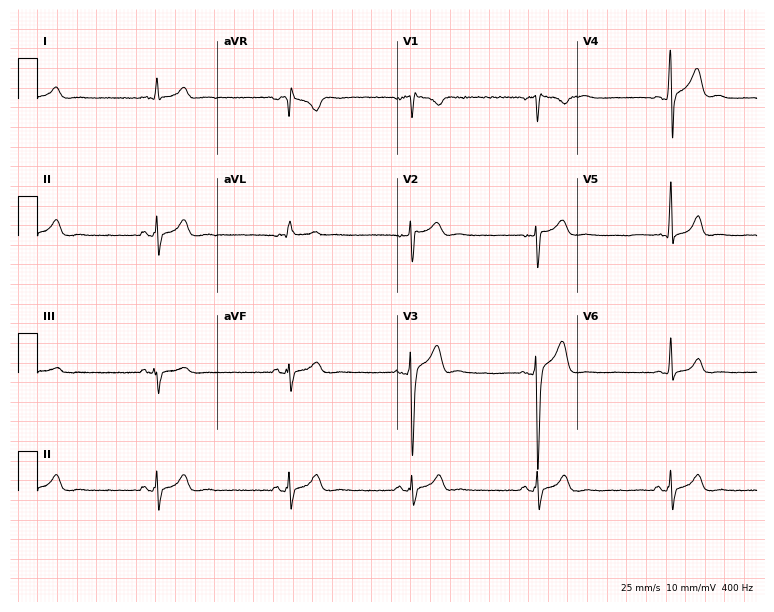
Electrocardiogram (7.3-second recording at 400 Hz), a 21-year-old man. Overall reading on record: normal ECG.